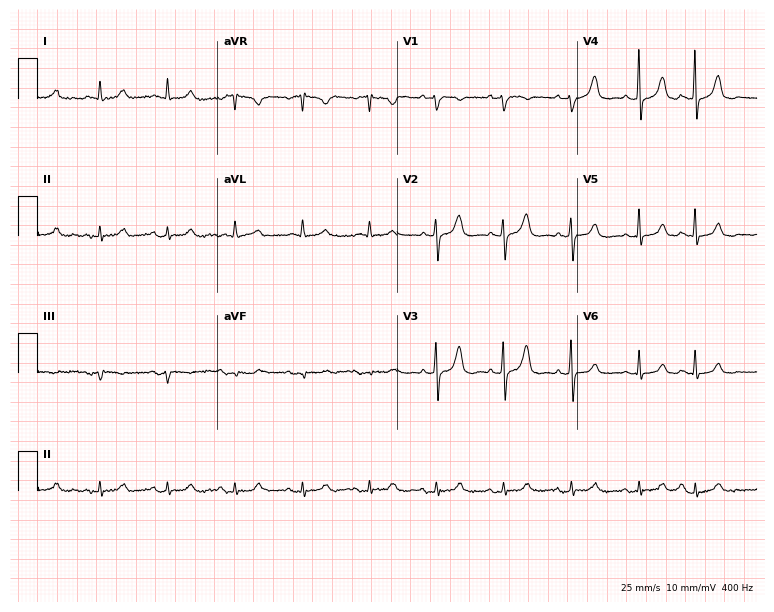
Resting 12-lead electrocardiogram (7.3-second recording at 400 Hz). Patient: a female, 80 years old. None of these six findings is recorded: first-degree AV block, right bundle branch block (RBBB), left bundle branch block (LBBB), sinus bradycardia, atrial fibrillation (AF), sinus tachycardia. Findings outside these six are not listed.